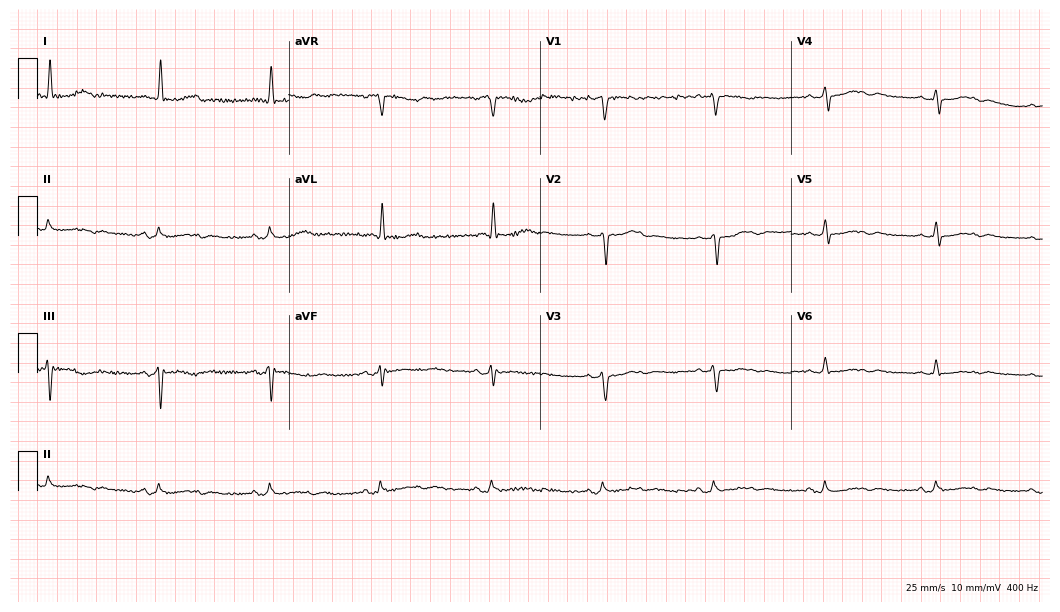
12-lead ECG from a woman, 84 years old. No first-degree AV block, right bundle branch block, left bundle branch block, sinus bradycardia, atrial fibrillation or sinus tachycardia recorded for this tracing.